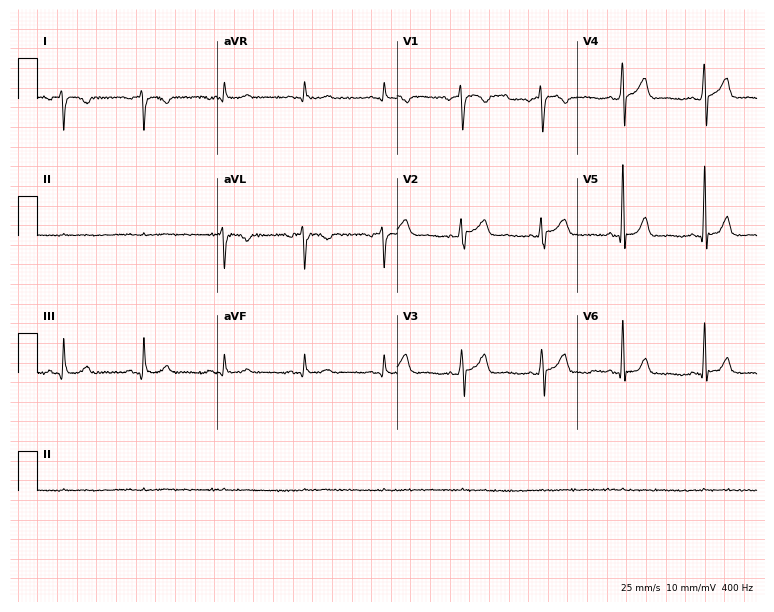
12-lead ECG from a 54-year-old man (7.3-second recording at 400 Hz). No first-degree AV block, right bundle branch block (RBBB), left bundle branch block (LBBB), sinus bradycardia, atrial fibrillation (AF) or sinus tachycardia recorded for this tracing. Only these six findings were labelled.